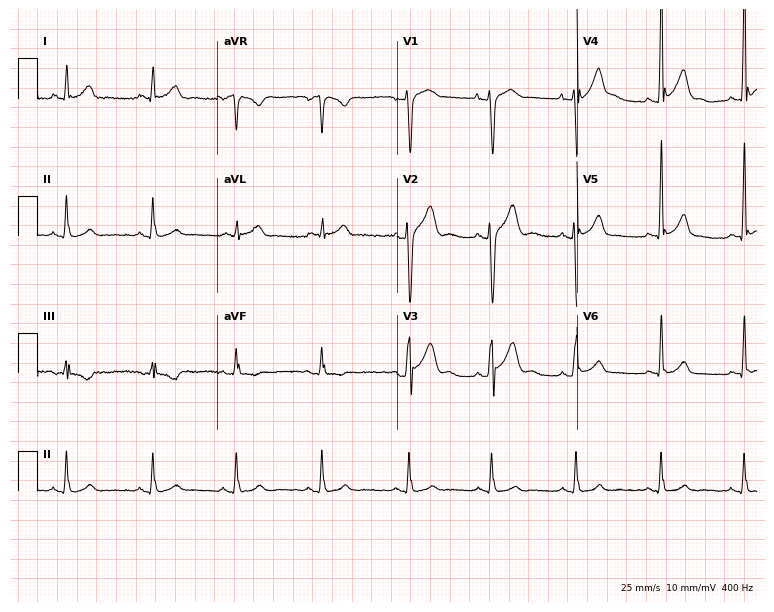
Resting 12-lead electrocardiogram. Patient: a man, 25 years old. None of these six findings is recorded: first-degree AV block, right bundle branch block (RBBB), left bundle branch block (LBBB), sinus bradycardia, atrial fibrillation (AF), sinus tachycardia. Other findings, if any, are not listed.